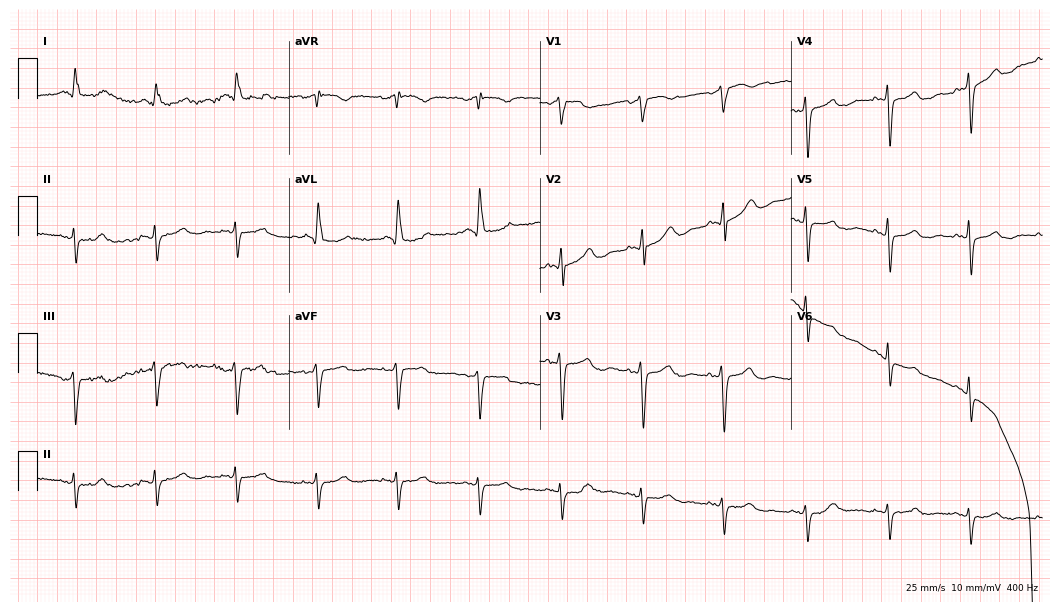
Resting 12-lead electrocardiogram (10.2-second recording at 400 Hz). Patient: an 84-year-old female. Read as a normal ECG.